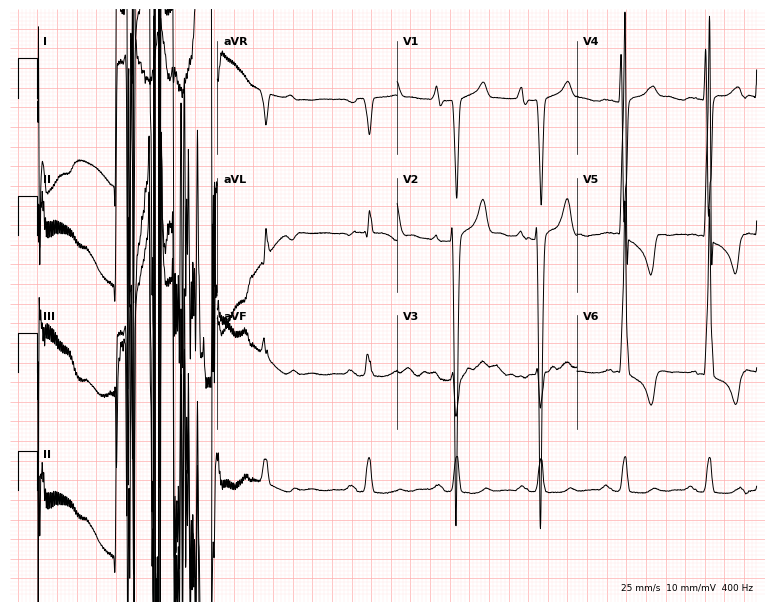
Standard 12-lead ECG recorded from a male, 66 years old. None of these six findings is recorded: first-degree AV block, right bundle branch block, left bundle branch block, sinus bradycardia, atrial fibrillation, sinus tachycardia. Findings outside these six are not listed.